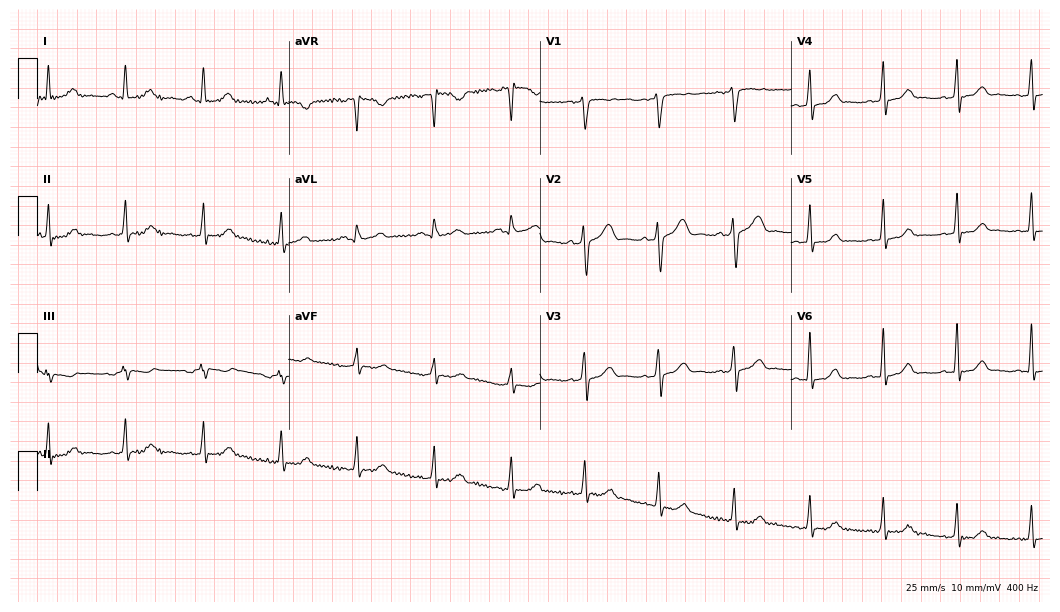
Resting 12-lead electrocardiogram (10.2-second recording at 400 Hz). Patient: a woman, 29 years old. Read as a normal ECG.